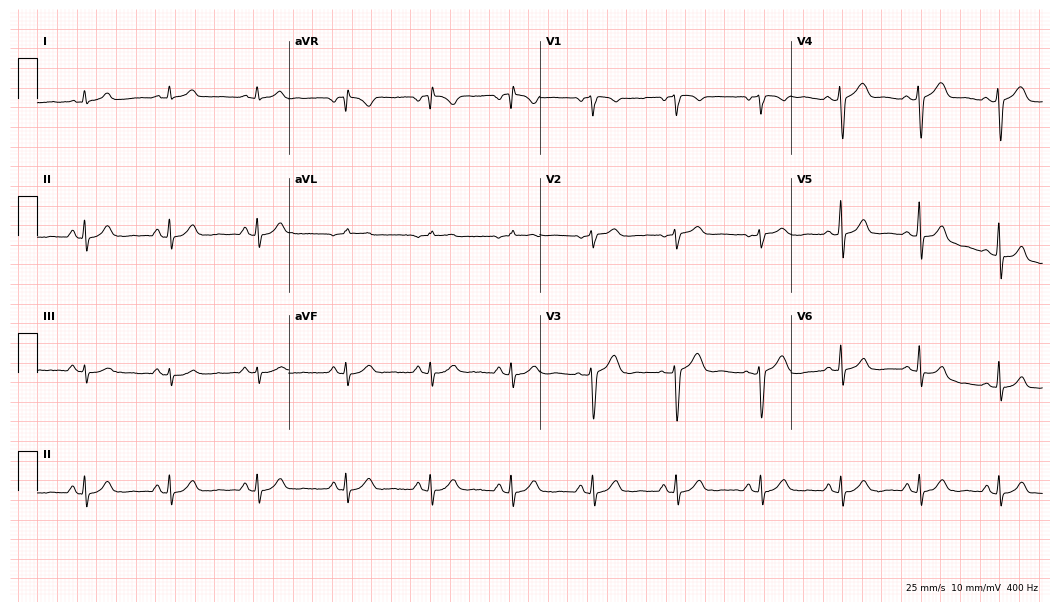
Electrocardiogram, a female, 41 years old. Overall reading on record: normal ECG.